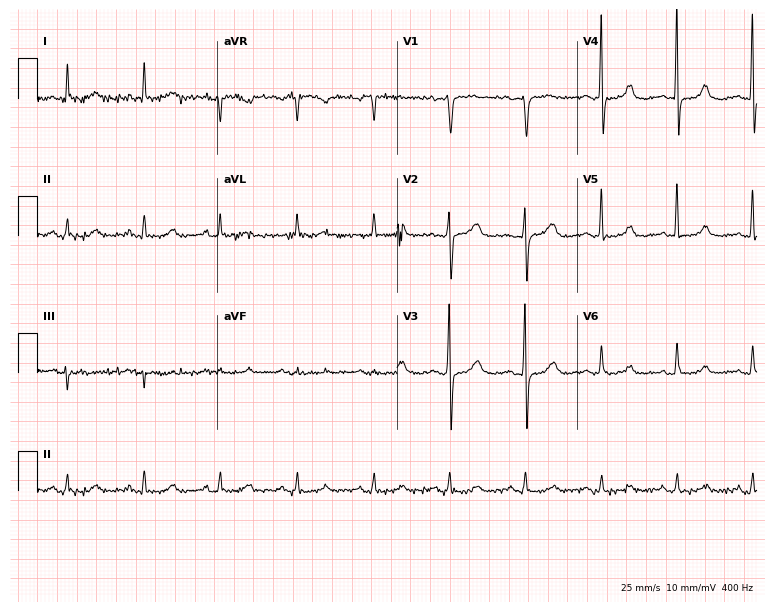
12-lead ECG (7.3-second recording at 400 Hz) from a 76-year-old female. Labelled as a normal ECG.